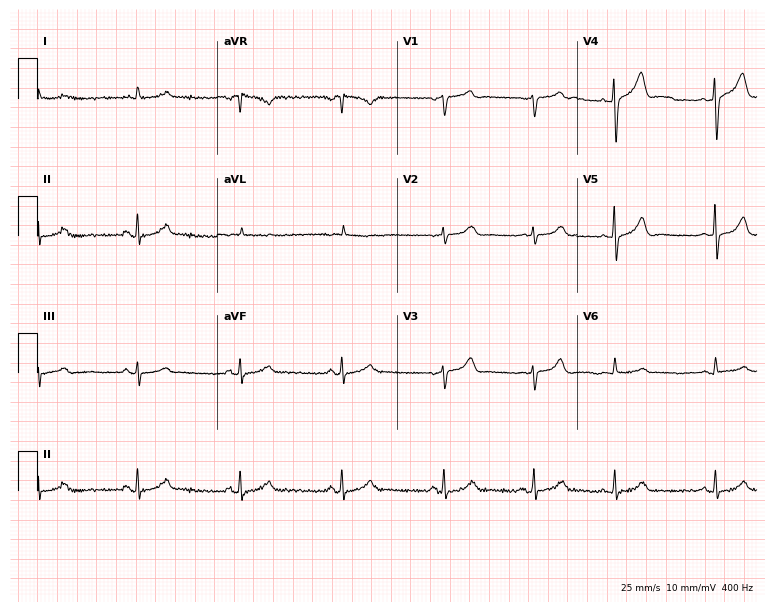
ECG (7.3-second recording at 400 Hz) — a 79-year-old male patient. Labelled as a normal ECG.